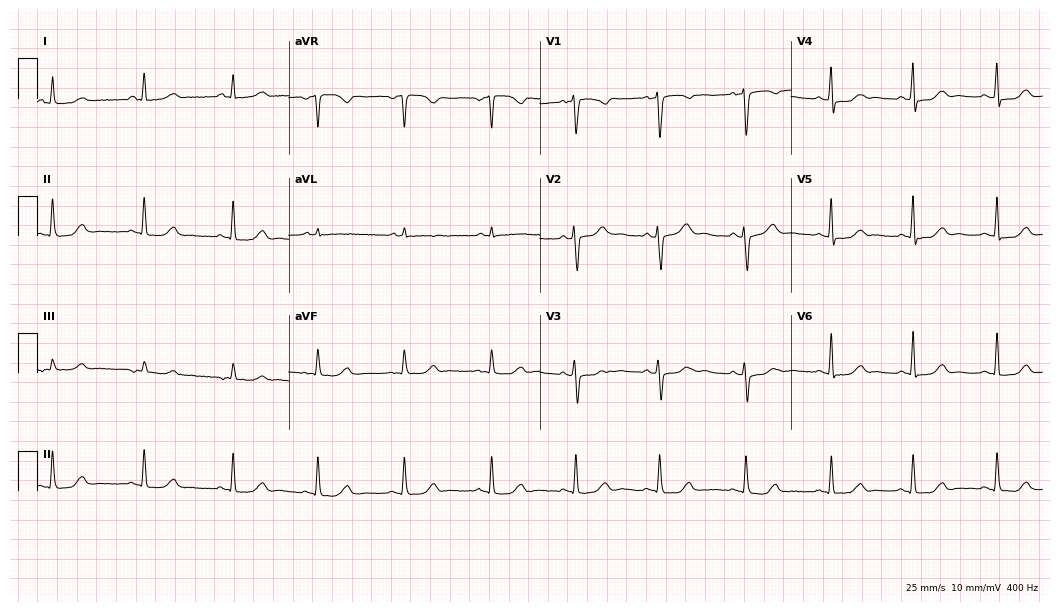
ECG — a female patient, 64 years old. Screened for six findings — first-degree AV block, right bundle branch block (RBBB), left bundle branch block (LBBB), sinus bradycardia, atrial fibrillation (AF), sinus tachycardia — none is recorded. Findings outside these six are not listed.